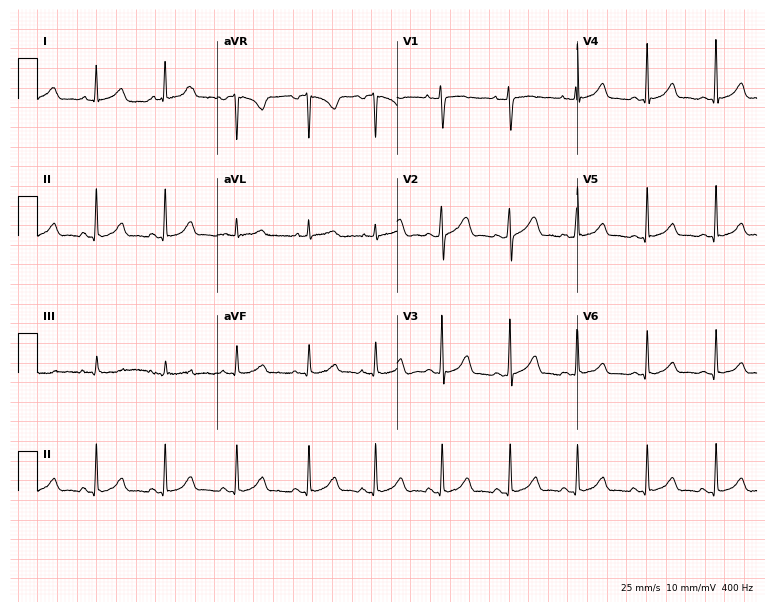
Electrocardiogram (7.3-second recording at 400 Hz), a woman, 26 years old. Overall reading on record: normal ECG.